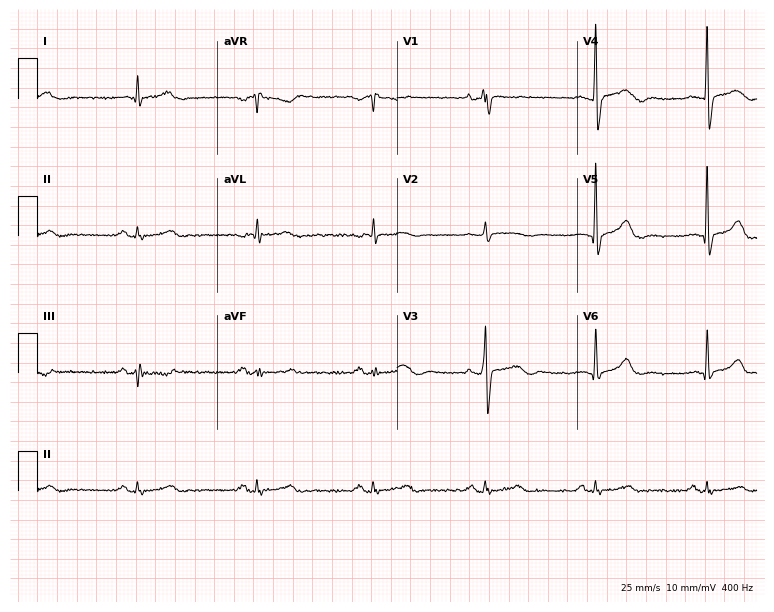
ECG — a 63-year-old male. Labelled as a normal ECG.